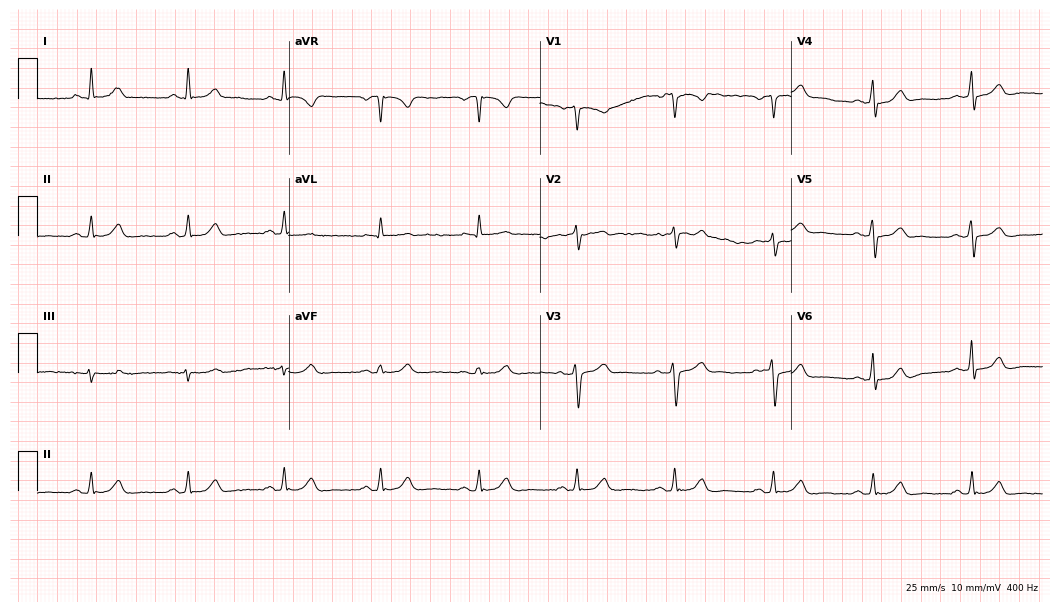
12-lead ECG from a 68-year-old male patient. Recorded interpretation: within normal limits.